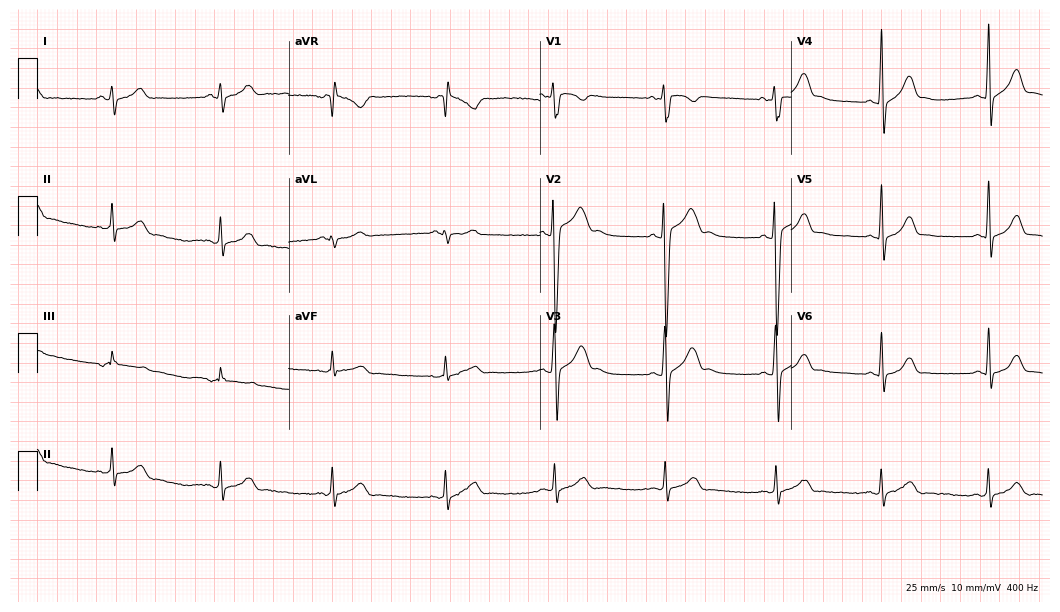
12-lead ECG from a man, 22 years old (10.2-second recording at 400 Hz). Recorded interpretation: within normal limits.